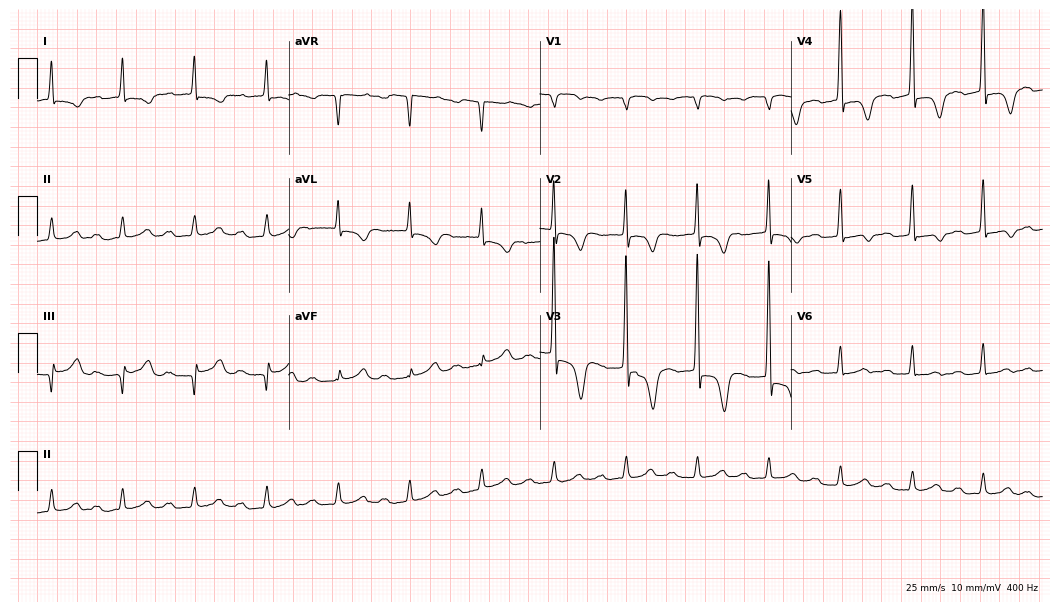
Standard 12-lead ECG recorded from a man, 84 years old (10.2-second recording at 400 Hz). The tracing shows first-degree AV block.